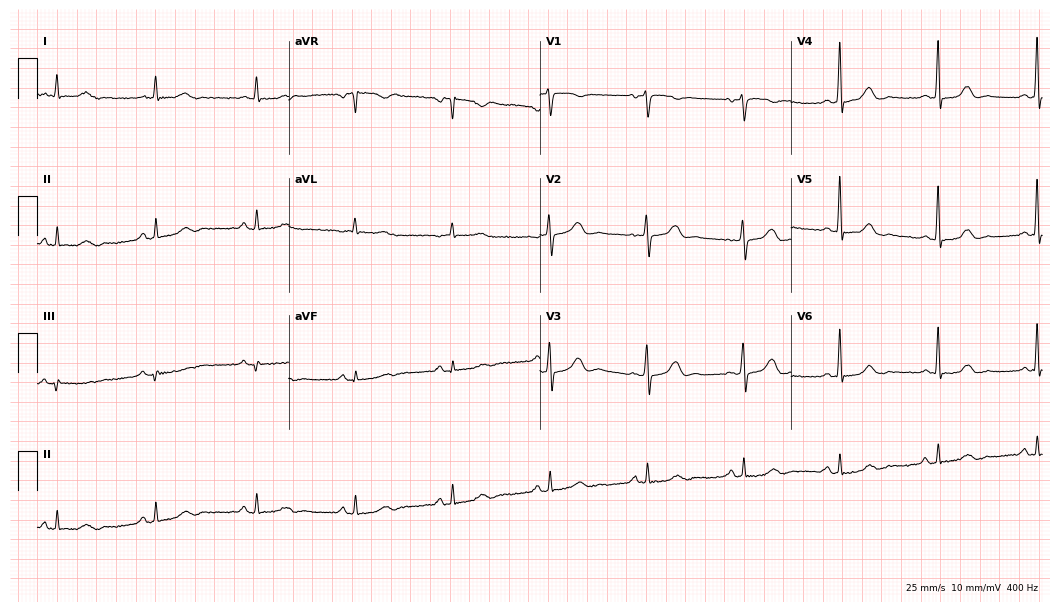
Resting 12-lead electrocardiogram. Patient: a 57-year-old female. None of these six findings is recorded: first-degree AV block, right bundle branch block (RBBB), left bundle branch block (LBBB), sinus bradycardia, atrial fibrillation (AF), sinus tachycardia.